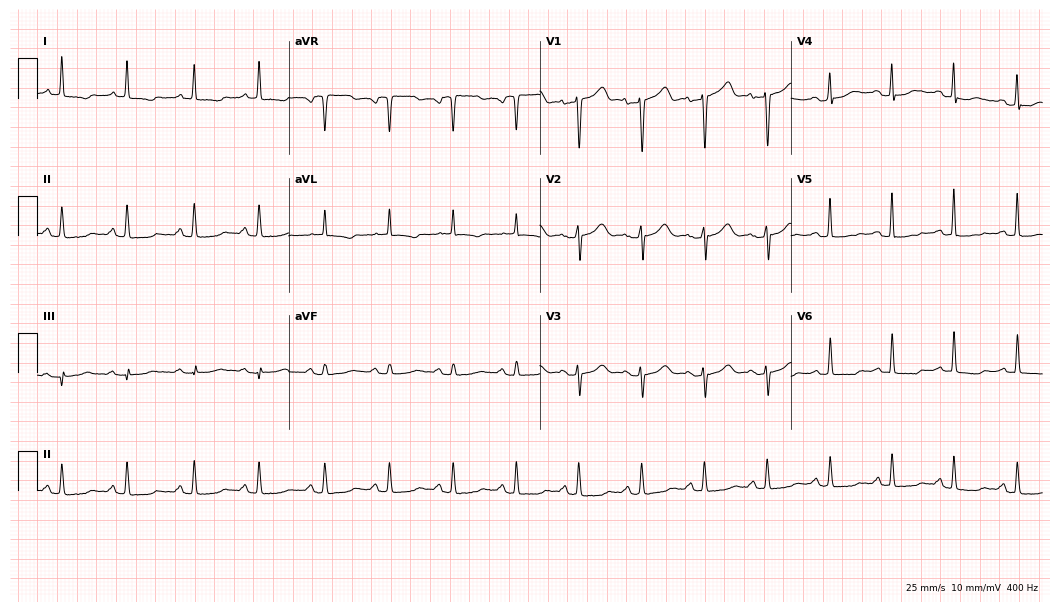
Electrocardiogram (10.2-second recording at 400 Hz), a 57-year-old female. Overall reading on record: normal ECG.